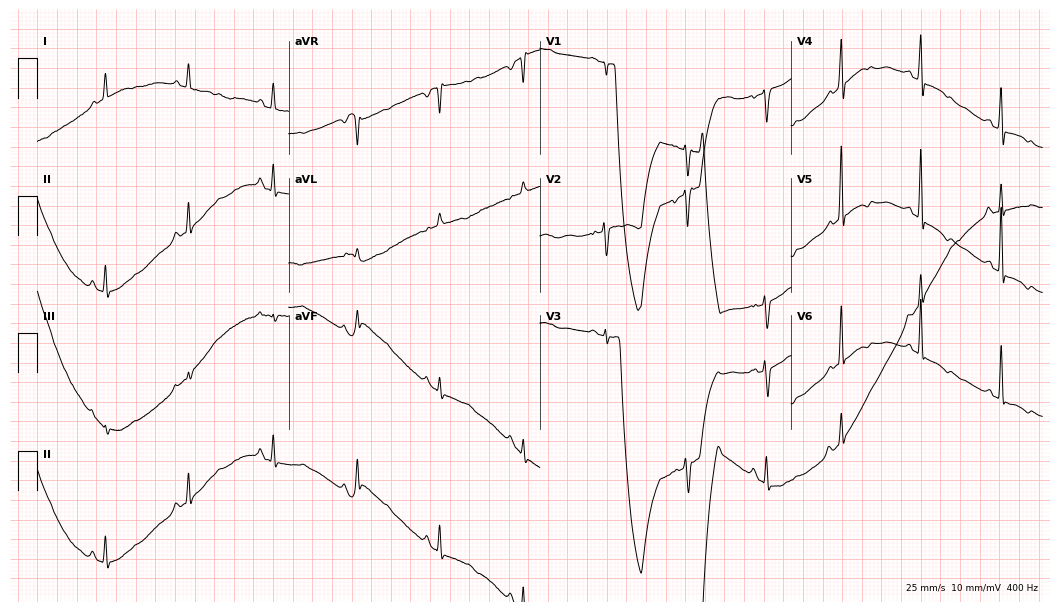
Standard 12-lead ECG recorded from a 57-year-old female. None of these six findings is recorded: first-degree AV block, right bundle branch block (RBBB), left bundle branch block (LBBB), sinus bradycardia, atrial fibrillation (AF), sinus tachycardia. Only these six findings were labelled.